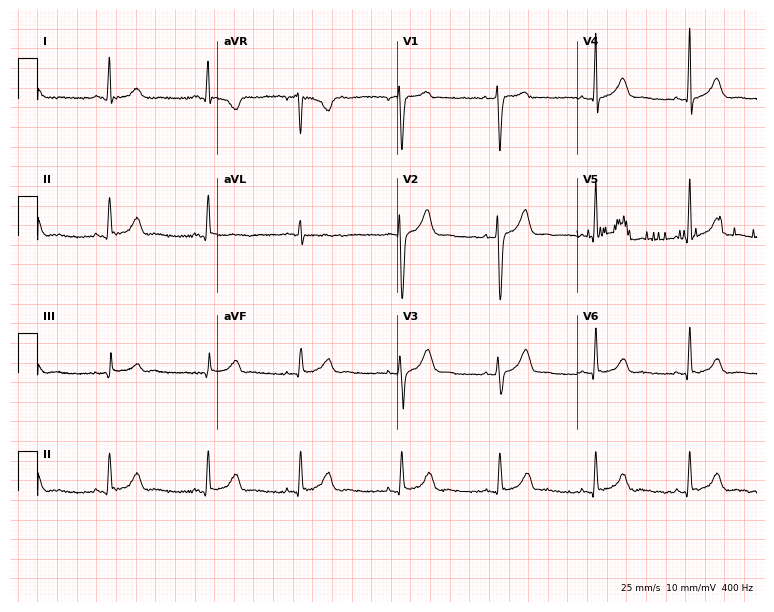
12-lead ECG from a male, 44 years old (7.3-second recording at 400 Hz). Recorded interpretation: within normal limits.